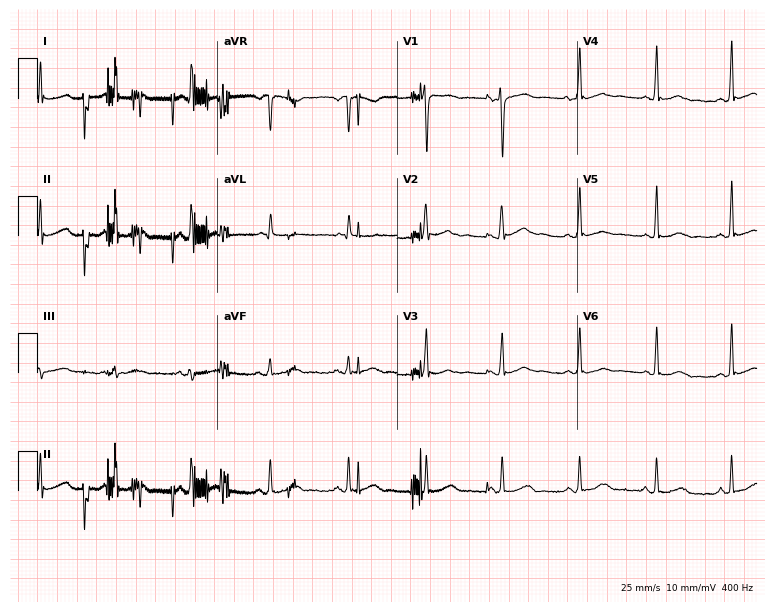
12-lead ECG from a 39-year-old man. Recorded interpretation: within normal limits.